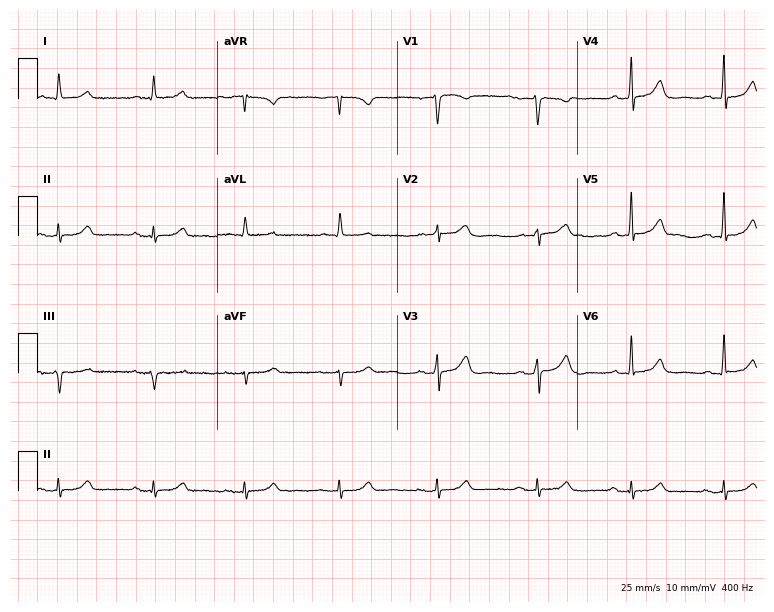
Electrocardiogram, a female, 66 years old. Overall reading on record: normal ECG.